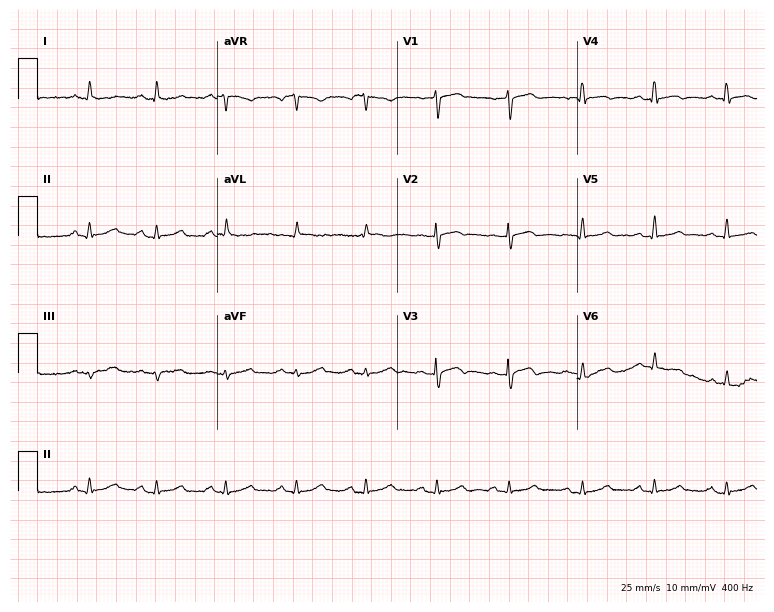
12-lead ECG (7.3-second recording at 400 Hz) from an 84-year-old female. Screened for six findings — first-degree AV block, right bundle branch block, left bundle branch block, sinus bradycardia, atrial fibrillation, sinus tachycardia — none is recorded. Findings outside these six are not listed.